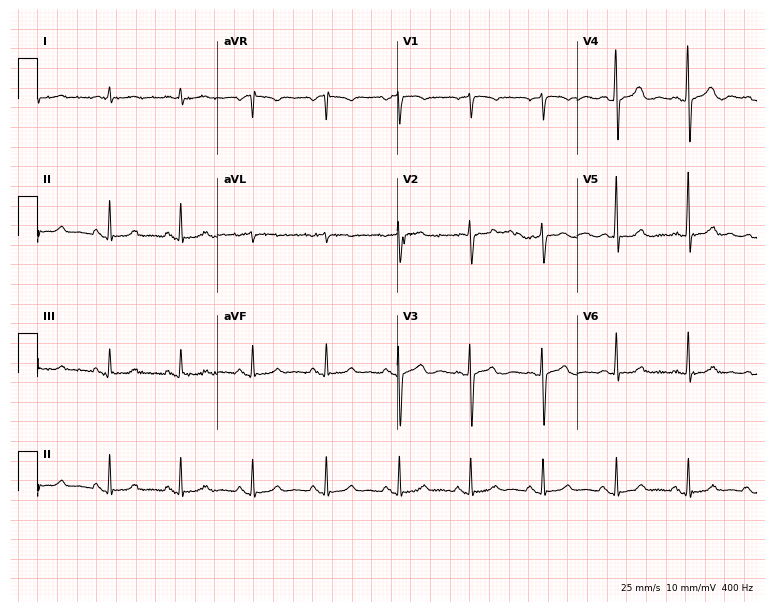
Standard 12-lead ECG recorded from a female patient, 80 years old (7.3-second recording at 400 Hz). Read as a normal ECG.